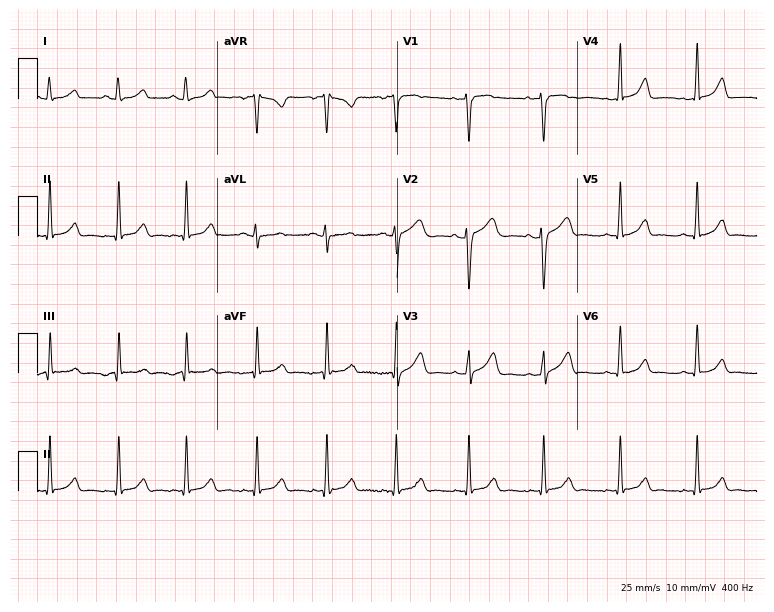
12-lead ECG from a woman, 26 years old (7.3-second recording at 400 Hz). Recorded interpretation: within normal limits.